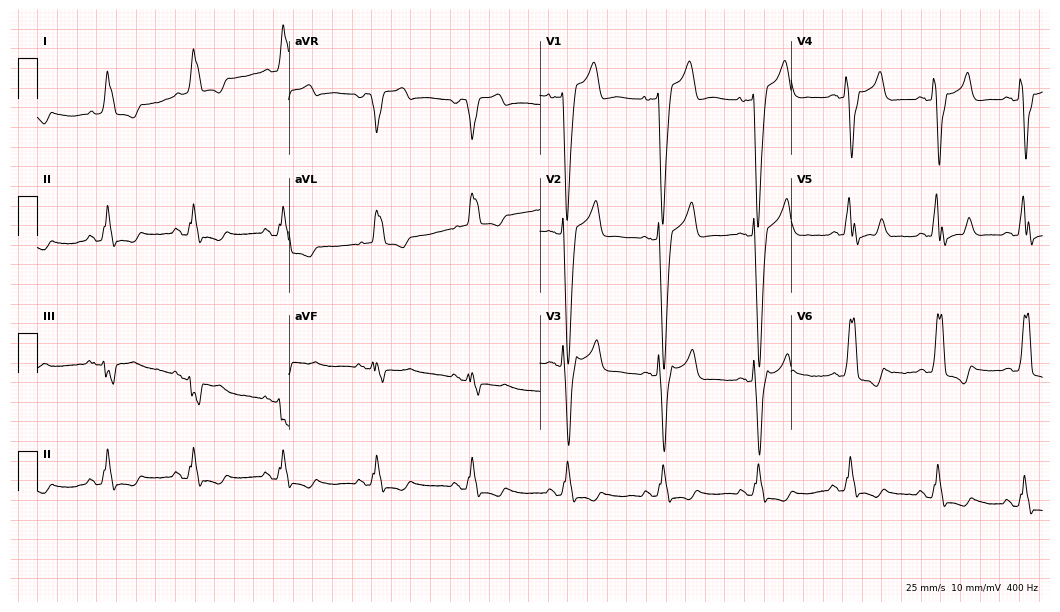
ECG (10.2-second recording at 400 Hz) — a male, 51 years old. Screened for six findings — first-degree AV block, right bundle branch block (RBBB), left bundle branch block (LBBB), sinus bradycardia, atrial fibrillation (AF), sinus tachycardia — none is recorded.